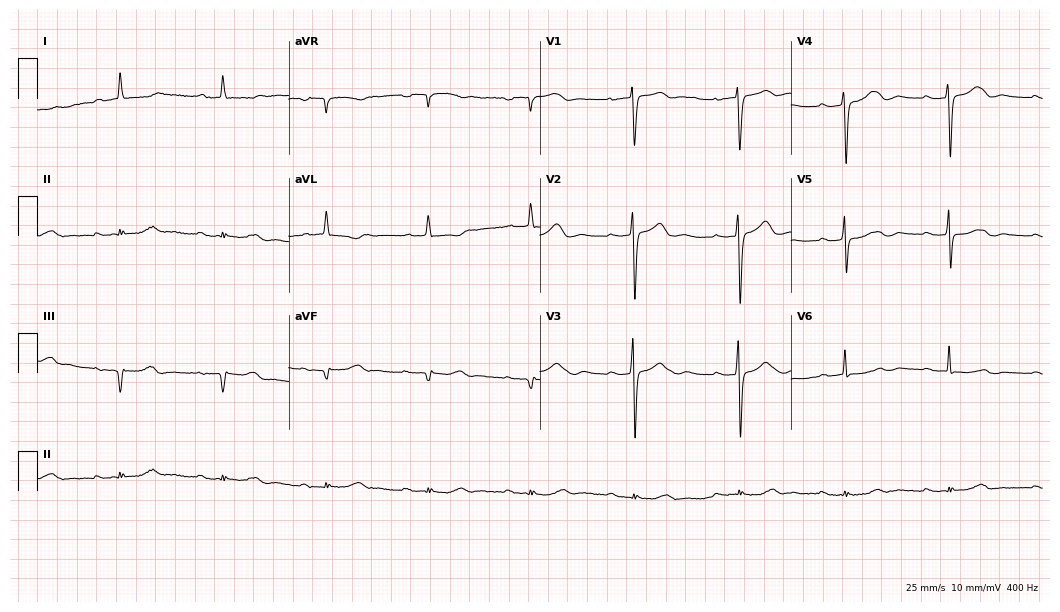
12-lead ECG from an 82-year-old female patient. Findings include first-degree AV block.